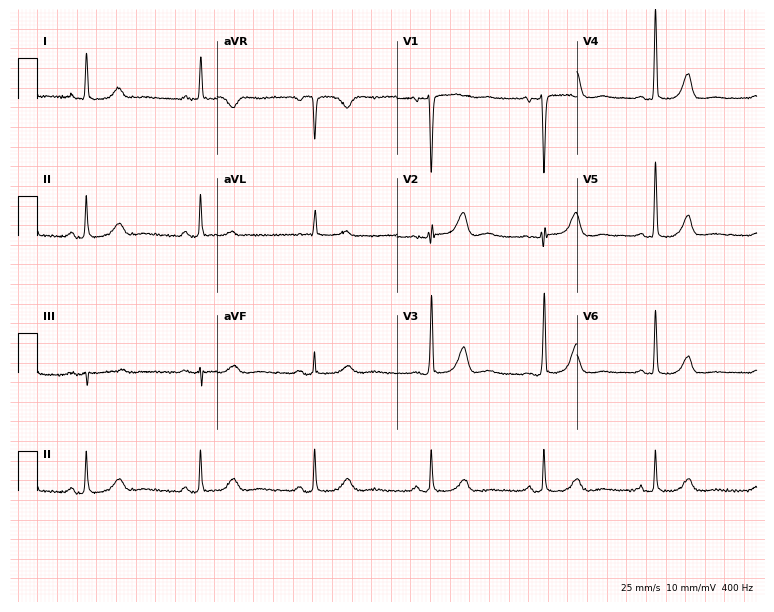
Standard 12-lead ECG recorded from a woman, 84 years old (7.3-second recording at 400 Hz). None of these six findings is recorded: first-degree AV block, right bundle branch block (RBBB), left bundle branch block (LBBB), sinus bradycardia, atrial fibrillation (AF), sinus tachycardia. Other findings, if any, are not listed.